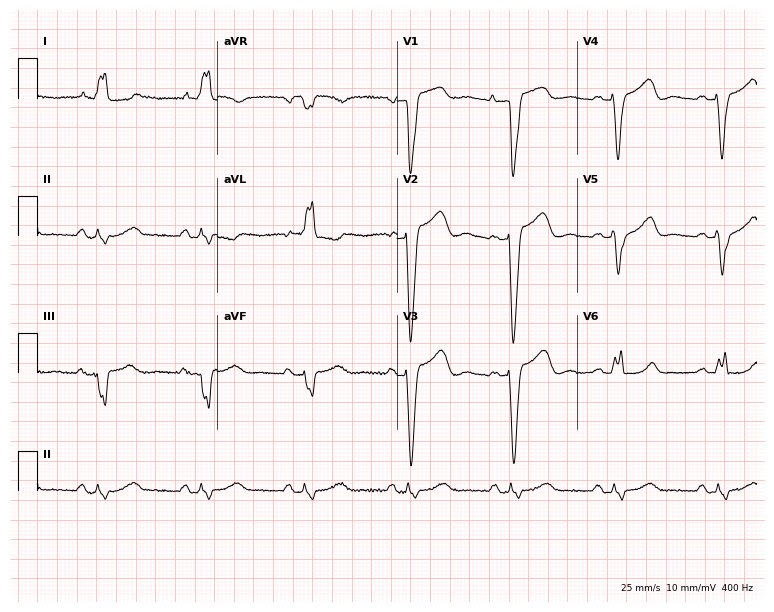
Electrocardiogram (7.3-second recording at 400 Hz), a female patient, 83 years old. Of the six screened findings (first-degree AV block, right bundle branch block (RBBB), left bundle branch block (LBBB), sinus bradycardia, atrial fibrillation (AF), sinus tachycardia), none is recorded.